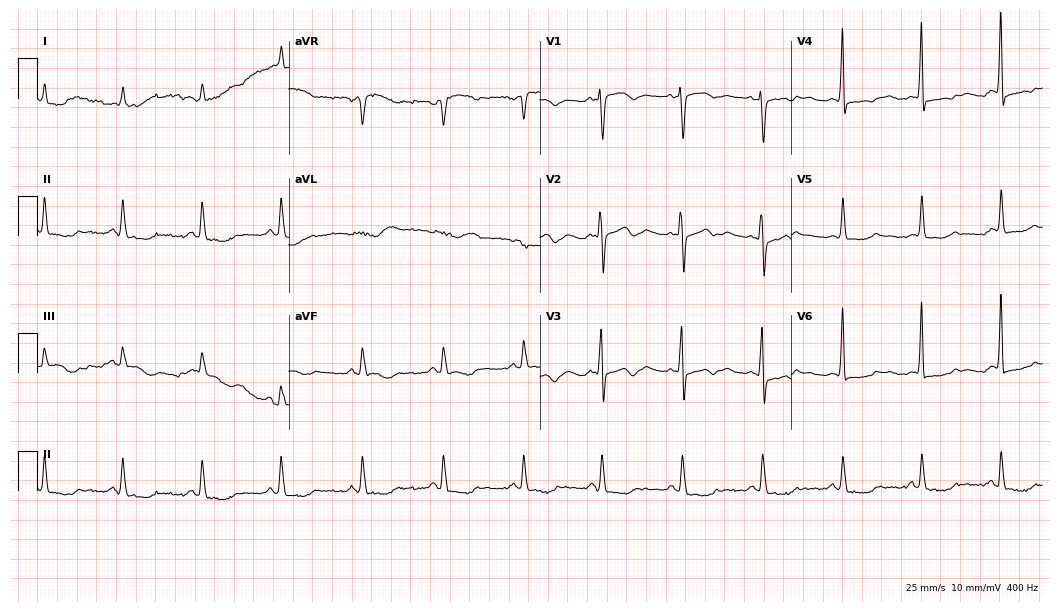
ECG — a woman, 81 years old. Screened for six findings — first-degree AV block, right bundle branch block (RBBB), left bundle branch block (LBBB), sinus bradycardia, atrial fibrillation (AF), sinus tachycardia — none is recorded.